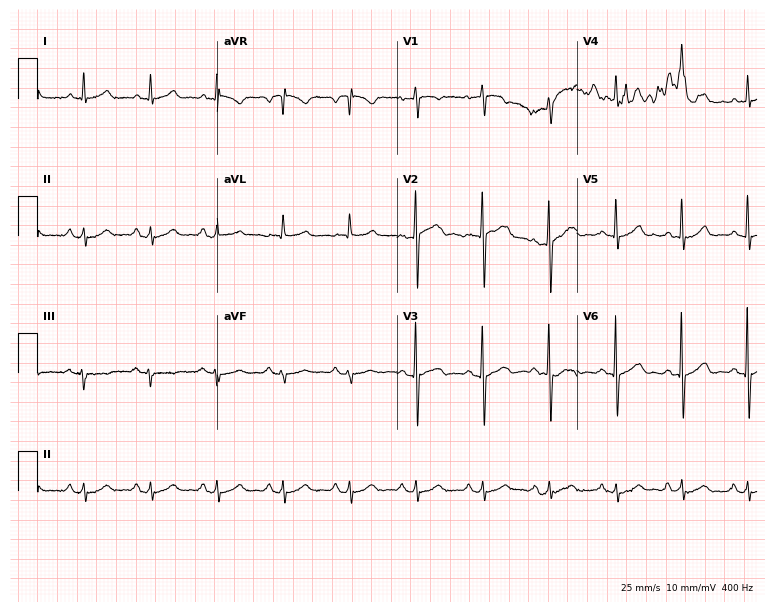
12-lead ECG from a 78-year-old man. No first-degree AV block, right bundle branch block, left bundle branch block, sinus bradycardia, atrial fibrillation or sinus tachycardia recorded for this tracing.